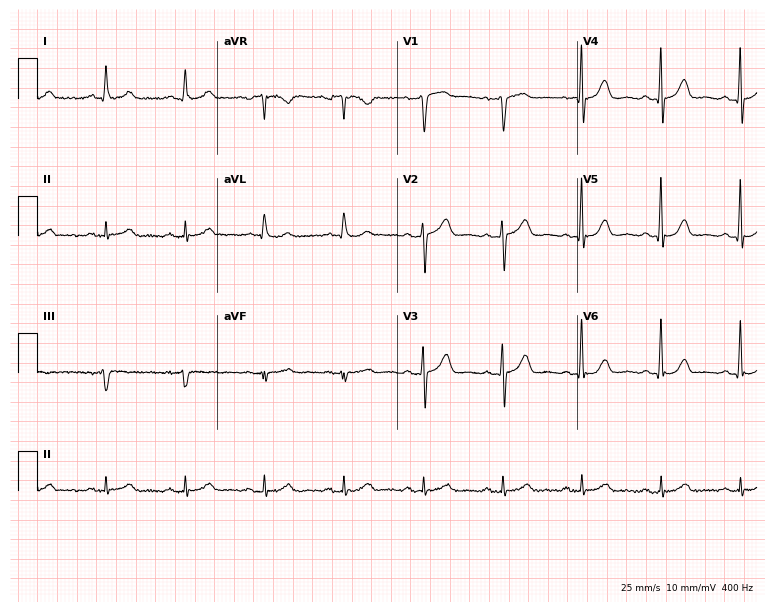
12-lead ECG from an 81-year-old woman (7.3-second recording at 400 Hz). No first-degree AV block, right bundle branch block (RBBB), left bundle branch block (LBBB), sinus bradycardia, atrial fibrillation (AF) or sinus tachycardia recorded for this tracing.